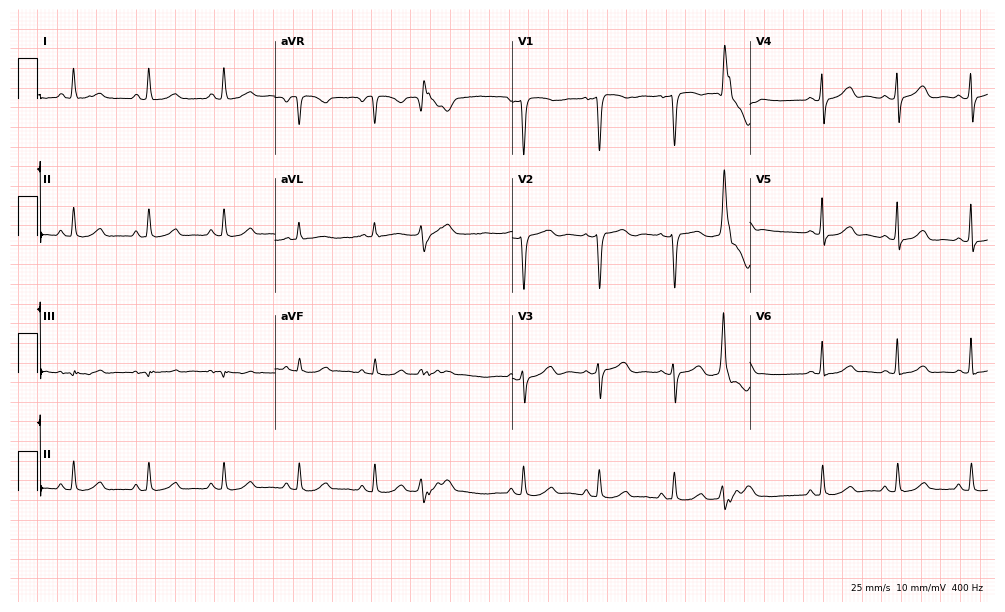
Standard 12-lead ECG recorded from a female, 52 years old (9.7-second recording at 400 Hz). None of these six findings is recorded: first-degree AV block, right bundle branch block, left bundle branch block, sinus bradycardia, atrial fibrillation, sinus tachycardia. Findings outside these six are not listed.